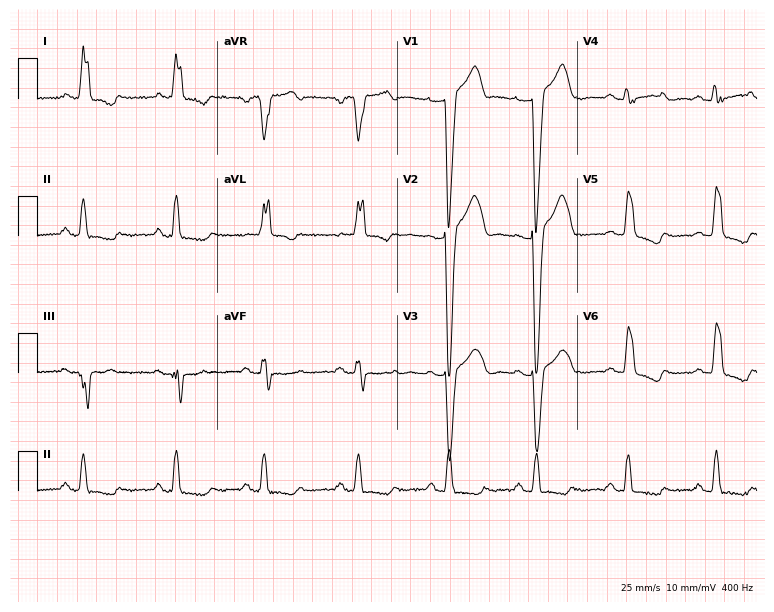
Standard 12-lead ECG recorded from a 60-year-old female patient. The tracing shows left bundle branch block.